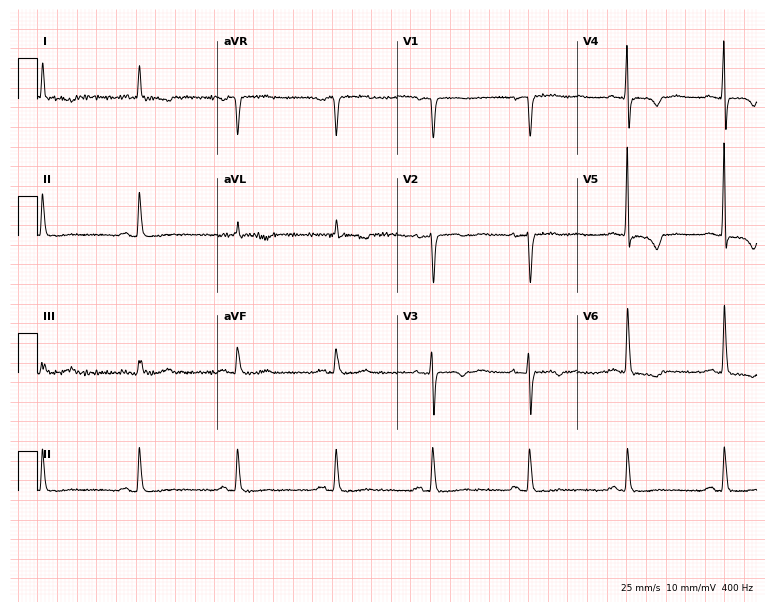
Standard 12-lead ECG recorded from a female patient, 85 years old (7.3-second recording at 400 Hz). None of these six findings is recorded: first-degree AV block, right bundle branch block (RBBB), left bundle branch block (LBBB), sinus bradycardia, atrial fibrillation (AF), sinus tachycardia.